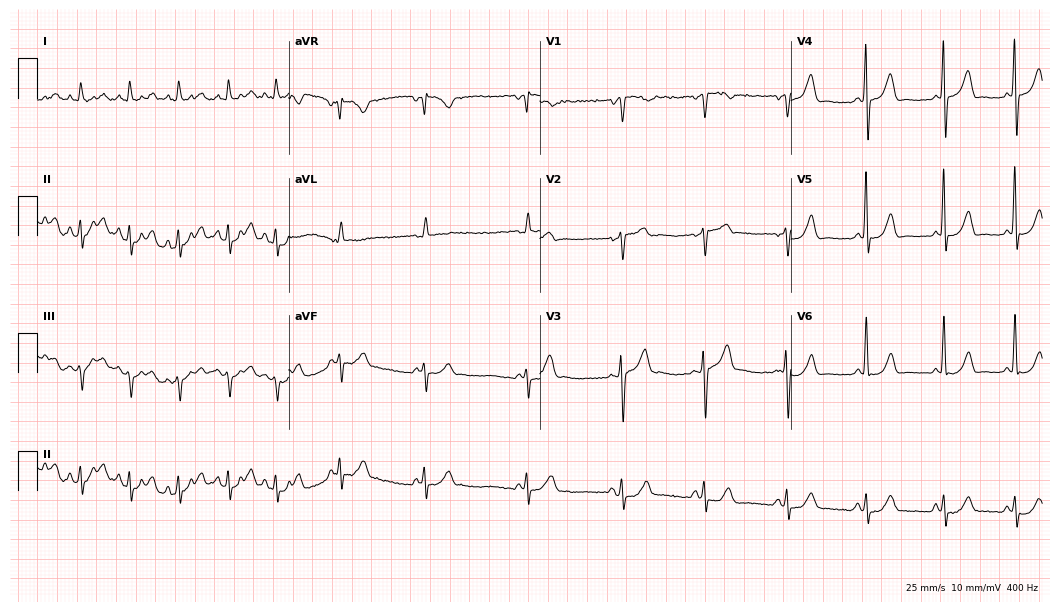
Resting 12-lead electrocardiogram (10.2-second recording at 400 Hz). Patient: an 84-year-old male. The tracing shows first-degree AV block.